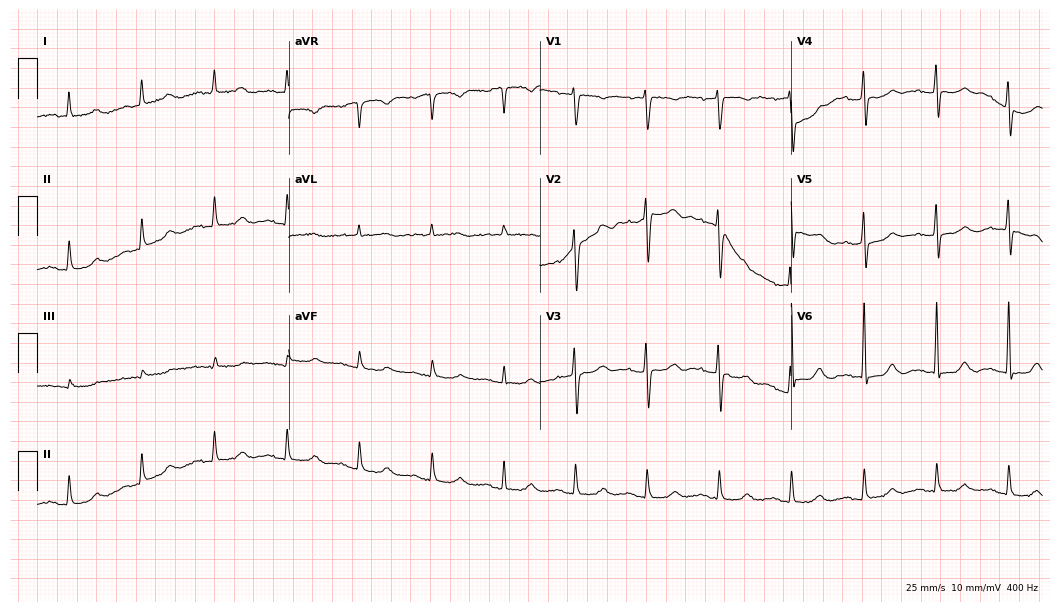
Electrocardiogram (10.2-second recording at 400 Hz), a 55-year-old woman. Of the six screened findings (first-degree AV block, right bundle branch block (RBBB), left bundle branch block (LBBB), sinus bradycardia, atrial fibrillation (AF), sinus tachycardia), none is recorded. Findings outside these six are not listed.